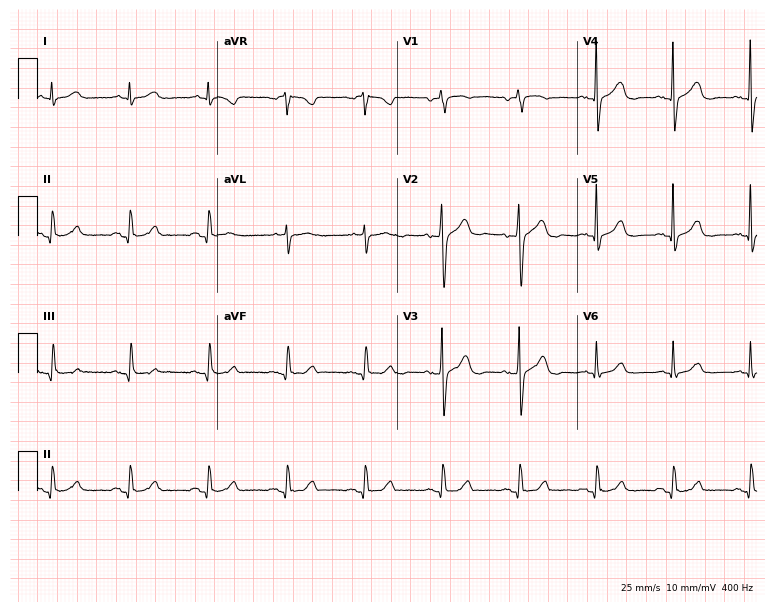
Resting 12-lead electrocardiogram. Patient: an 82-year-old man. Read as a normal ECG.